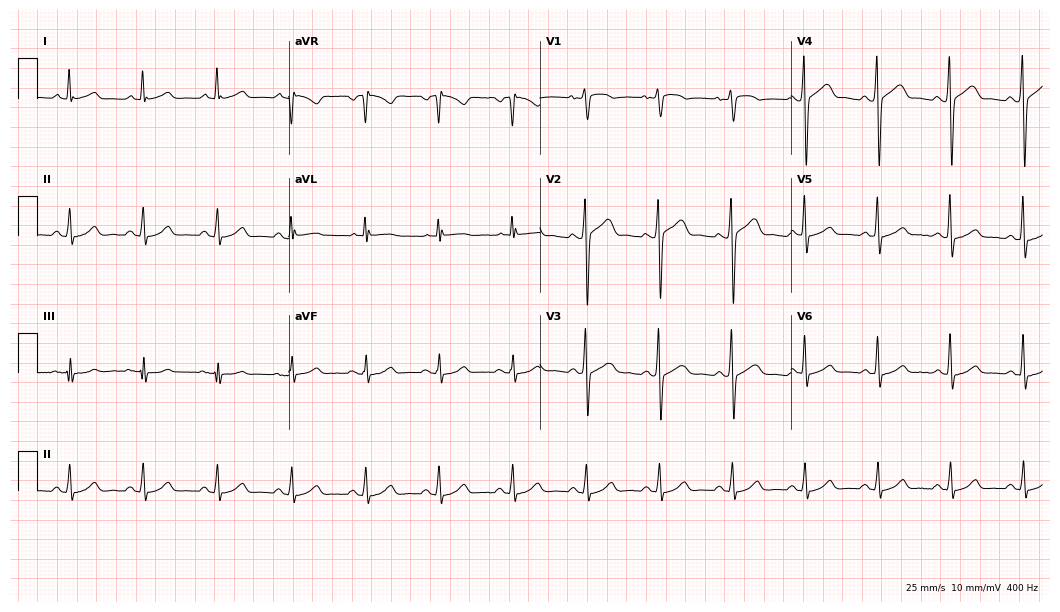
Electrocardiogram, a male, 57 years old. Of the six screened findings (first-degree AV block, right bundle branch block, left bundle branch block, sinus bradycardia, atrial fibrillation, sinus tachycardia), none is recorded.